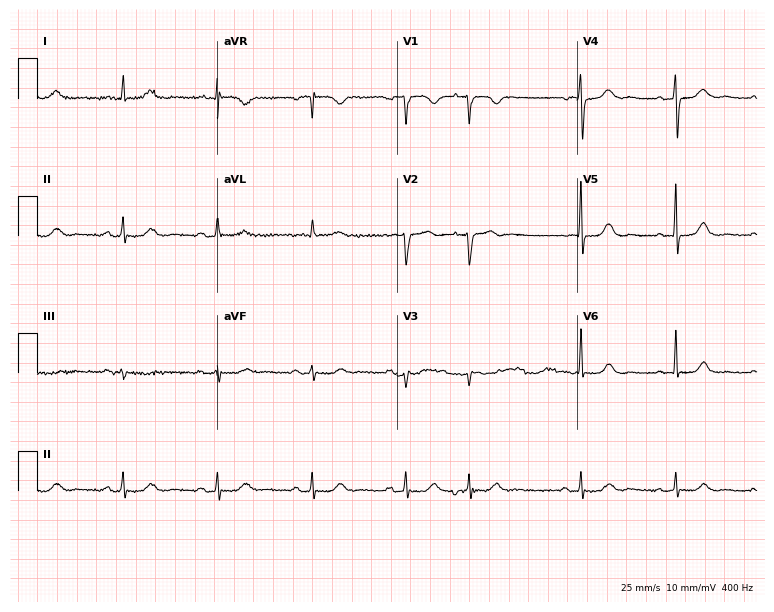
12-lead ECG from a female patient, 72 years old. No first-degree AV block, right bundle branch block (RBBB), left bundle branch block (LBBB), sinus bradycardia, atrial fibrillation (AF) or sinus tachycardia recorded for this tracing.